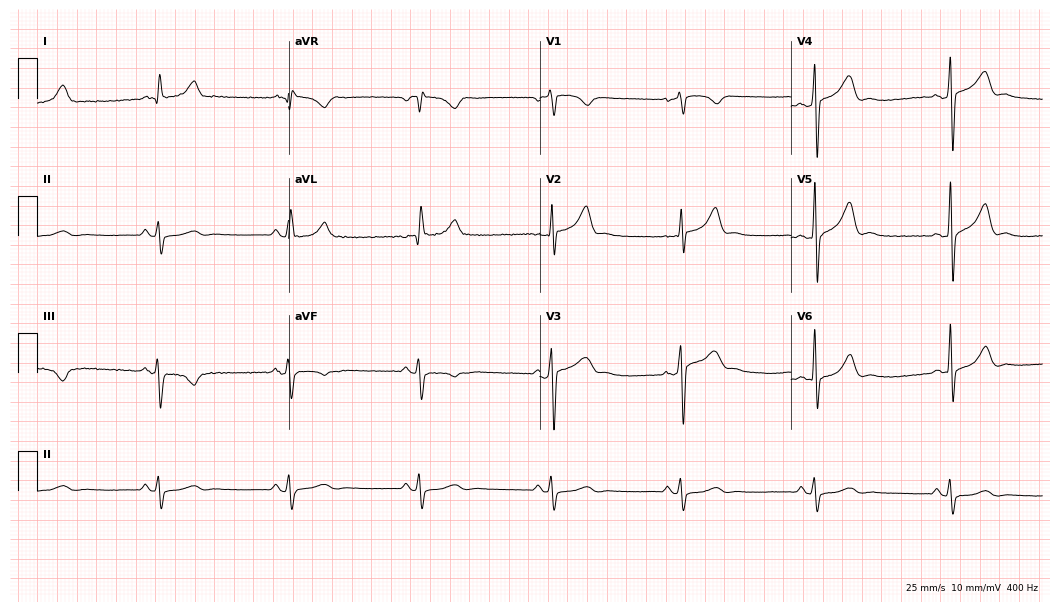
12-lead ECG from a 55-year-old male (10.2-second recording at 400 Hz). No first-degree AV block, right bundle branch block (RBBB), left bundle branch block (LBBB), sinus bradycardia, atrial fibrillation (AF) or sinus tachycardia recorded for this tracing.